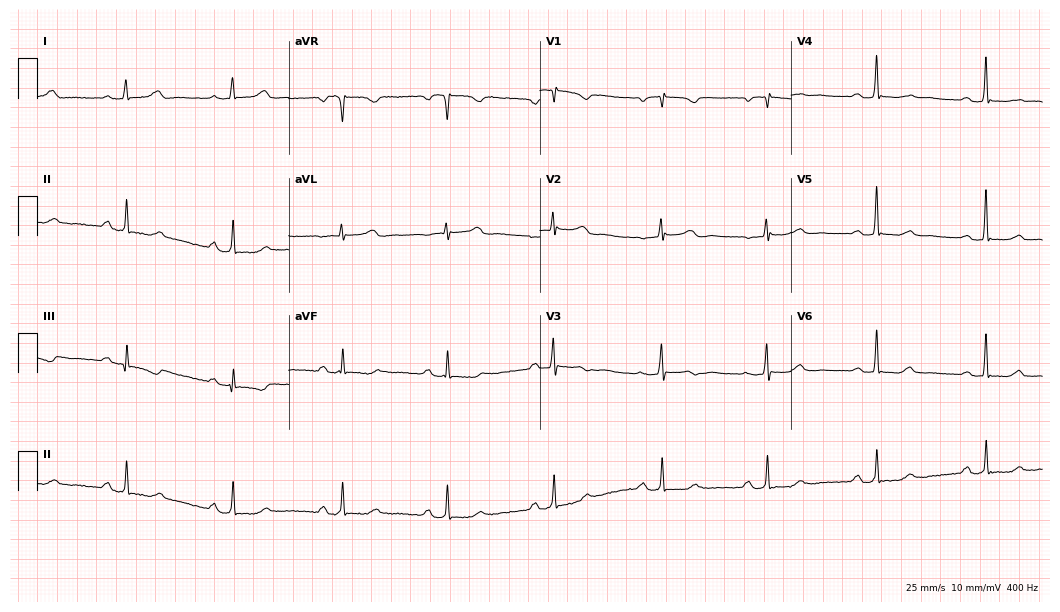
Electrocardiogram (10.2-second recording at 400 Hz), a 67-year-old woman. Interpretation includes first-degree AV block.